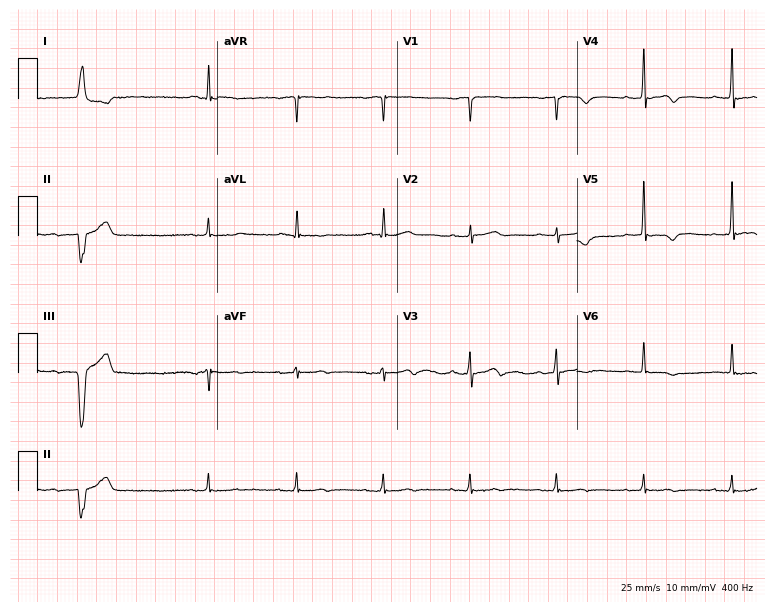
12-lead ECG from a male, 82 years old (7.3-second recording at 400 Hz). No first-degree AV block, right bundle branch block (RBBB), left bundle branch block (LBBB), sinus bradycardia, atrial fibrillation (AF) or sinus tachycardia recorded for this tracing. Other findings, if any, are not listed.